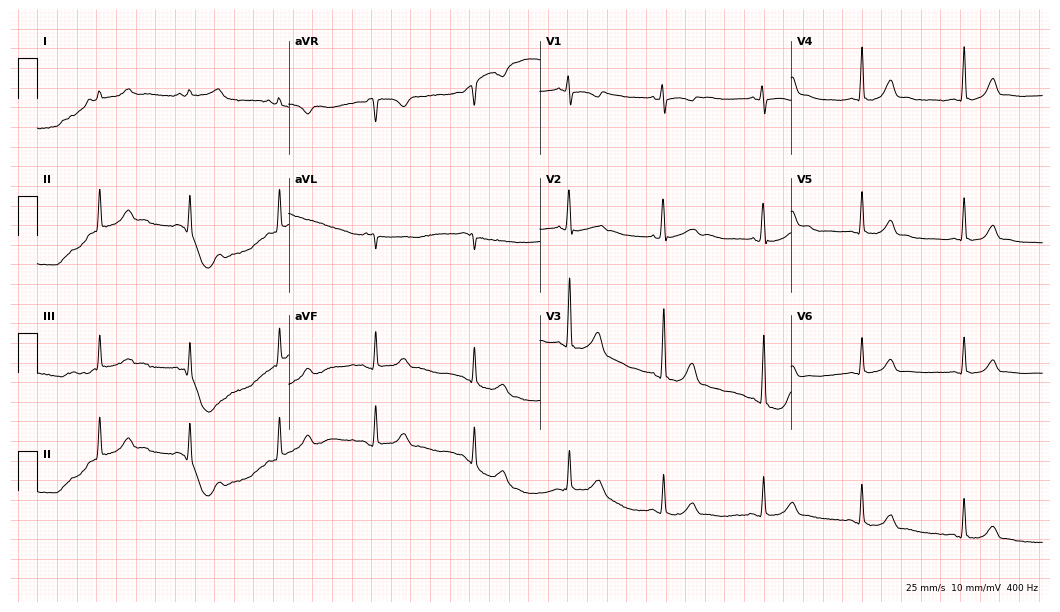
Standard 12-lead ECG recorded from a woman, 32 years old (10.2-second recording at 400 Hz). None of these six findings is recorded: first-degree AV block, right bundle branch block, left bundle branch block, sinus bradycardia, atrial fibrillation, sinus tachycardia.